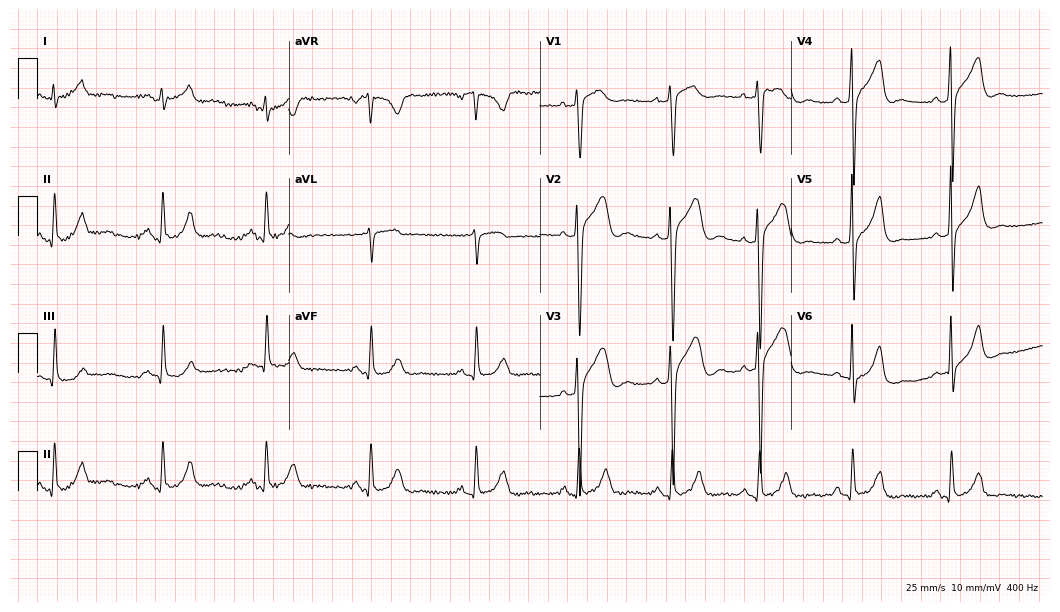
Resting 12-lead electrocardiogram. Patient: a male, 45 years old. None of these six findings is recorded: first-degree AV block, right bundle branch block, left bundle branch block, sinus bradycardia, atrial fibrillation, sinus tachycardia. Other findings, if any, are not listed.